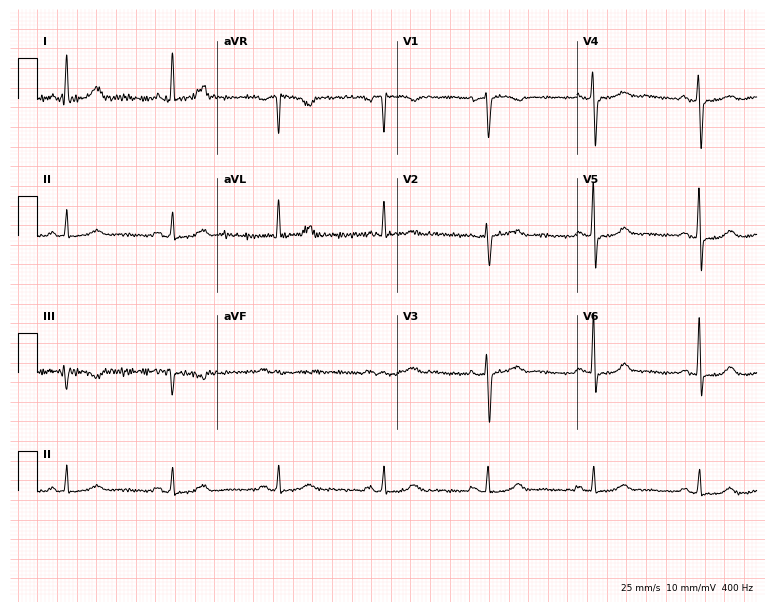
12-lead ECG from a woman, 46 years old (7.3-second recording at 400 Hz). No first-degree AV block, right bundle branch block (RBBB), left bundle branch block (LBBB), sinus bradycardia, atrial fibrillation (AF) or sinus tachycardia recorded for this tracing. Only these six findings were labelled.